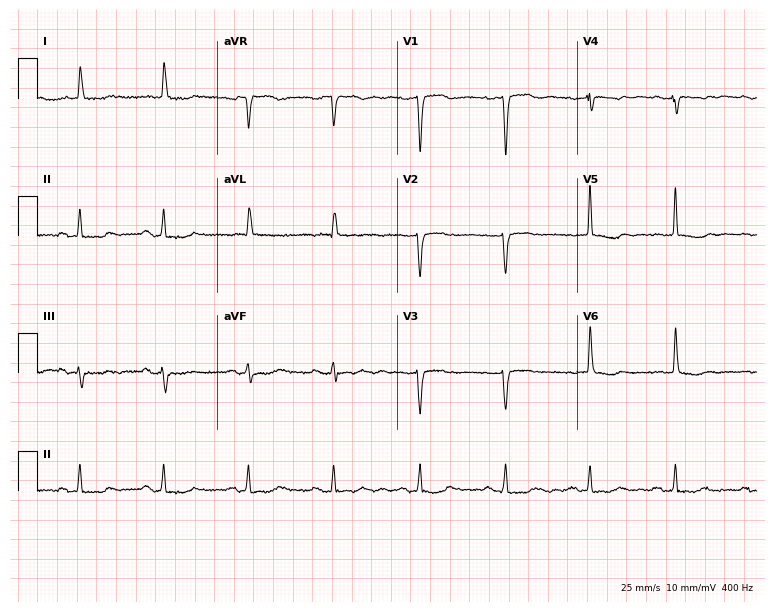
Resting 12-lead electrocardiogram (7.3-second recording at 400 Hz). Patient: a woman, 74 years old. None of these six findings is recorded: first-degree AV block, right bundle branch block, left bundle branch block, sinus bradycardia, atrial fibrillation, sinus tachycardia. Other findings, if any, are not listed.